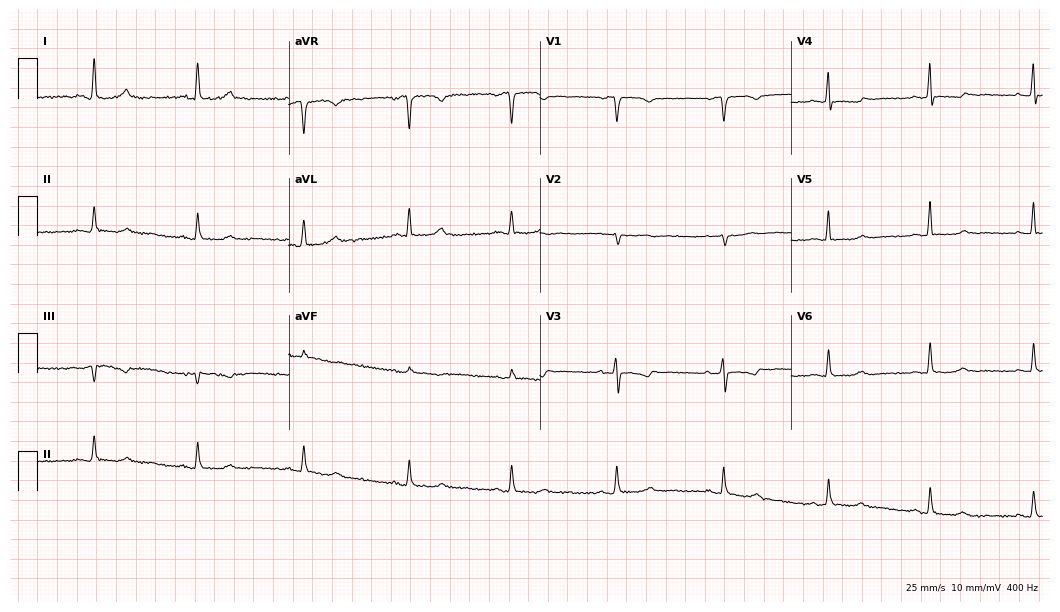
12-lead ECG (10.2-second recording at 400 Hz) from a female, 66 years old. Screened for six findings — first-degree AV block, right bundle branch block, left bundle branch block, sinus bradycardia, atrial fibrillation, sinus tachycardia — none is recorded. Only these six findings were labelled.